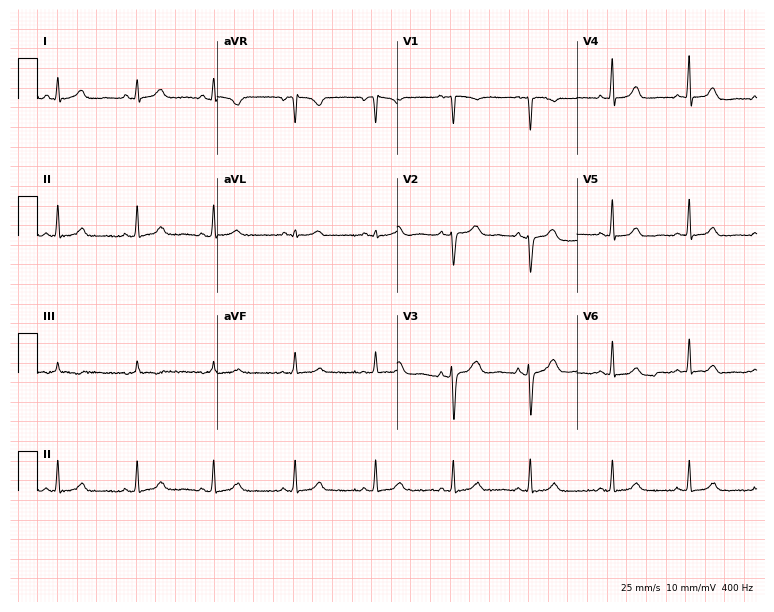
ECG — a 51-year-old female. Labelled as a normal ECG.